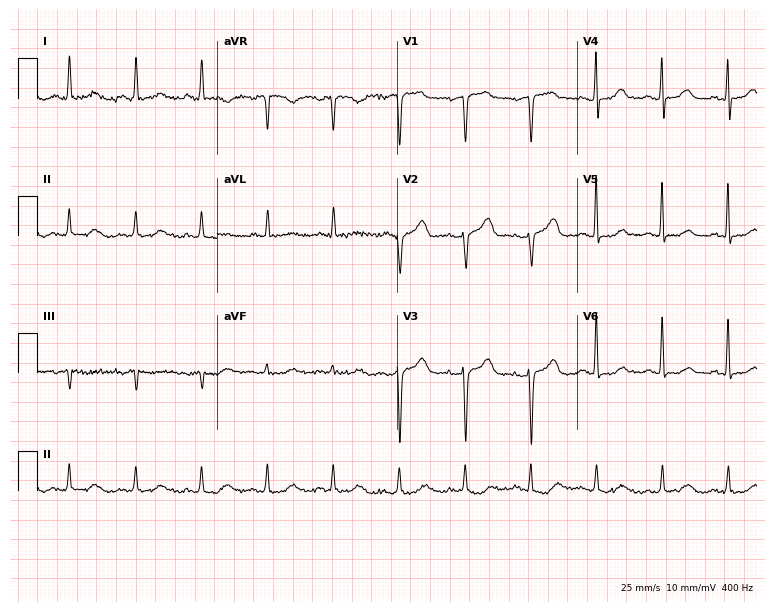
12-lead ECG from a 74-year-old woman. Screened for six findings — first-degree AV block, right bundle branch block (RBBB), left bundle branch block (LBBB), sinus bradycardia, atrial fibrillation (AF), sinus tachycardia — none is recorded.